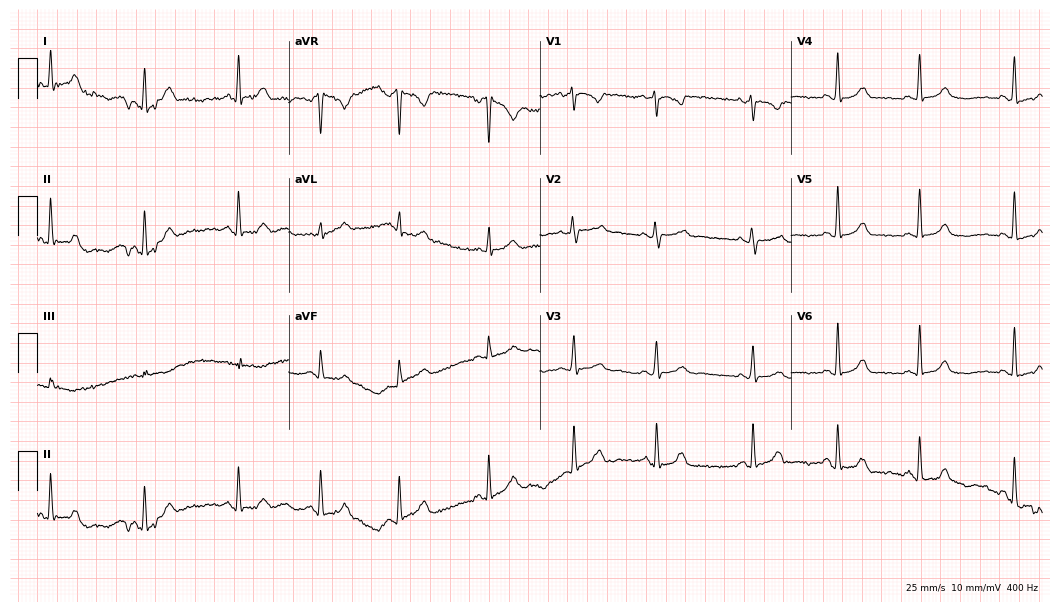
12-lead ECG from a female, 28 years old. Labelled as a normal ECG.